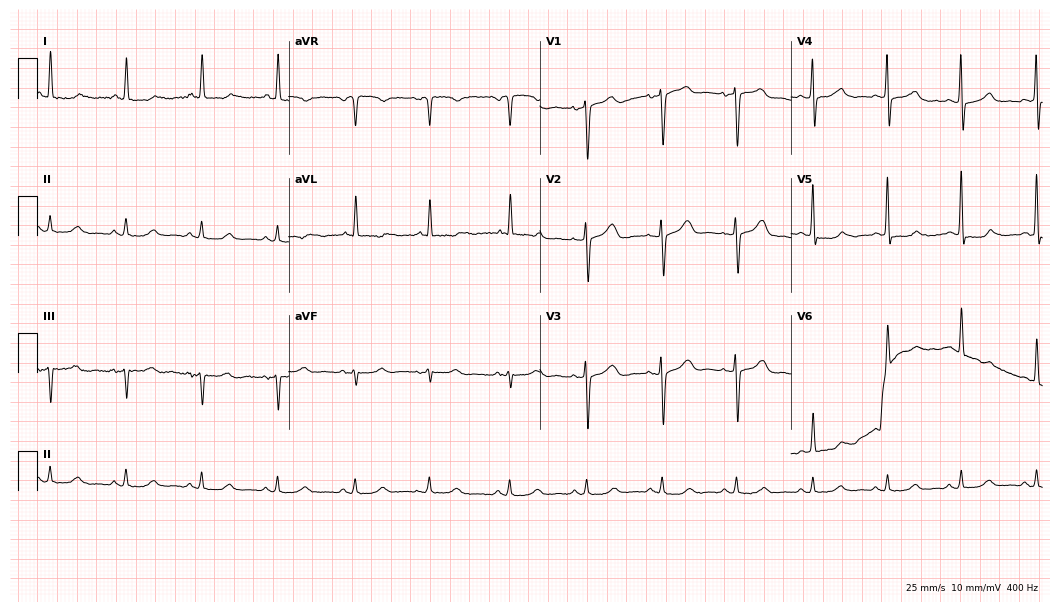
Electrocardiogram (10.2-second recording at 400 Hz), an 83-year-old female patient. Overall reading on record: normal ECG.